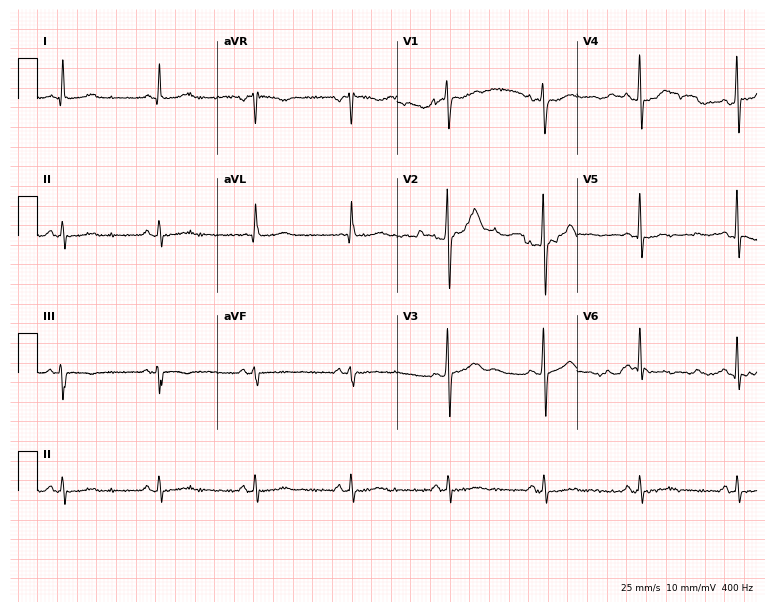
ECG — a male patient, 63 years old. Screened for six findings — first-degree AV block, right bundle branch block, left bundle branch block, sinus bradycardia, atrial fibrillation, sinus tachycardia — none is recorded.